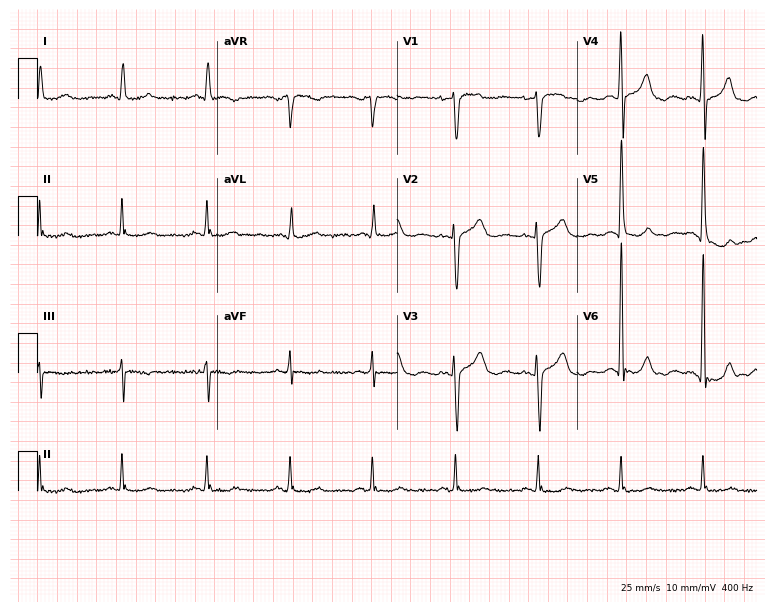
Resting 12-lead electrocardiogram. Patient: a 75-year-old female. None of these six findings is recorded: first-degree AV block, right bundle branch block, left bundle branch block, sinus bradycardia, atrial fibrillation, sinus tachycardia. Only these six findings were labelled.